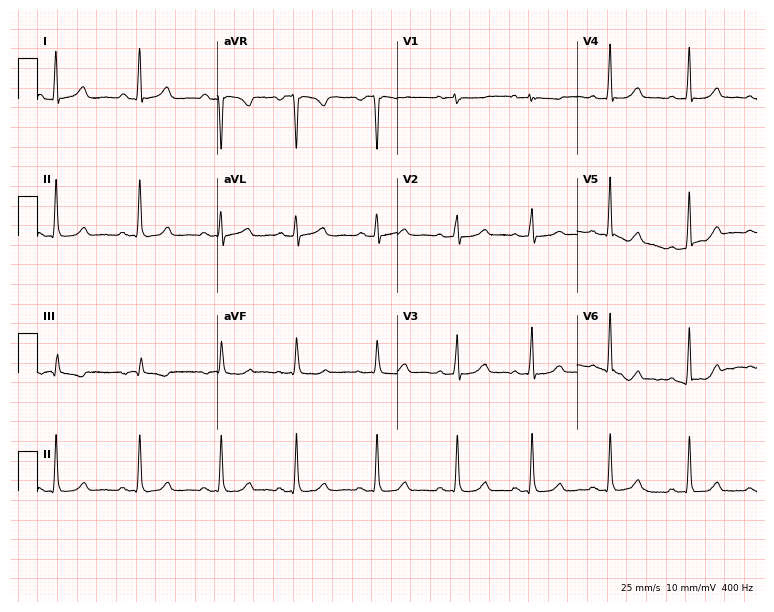
12-lead ECG from a woman, 35 years old (7.3-second recording at 400 Hz). Recorded interpretation: within normal limits.